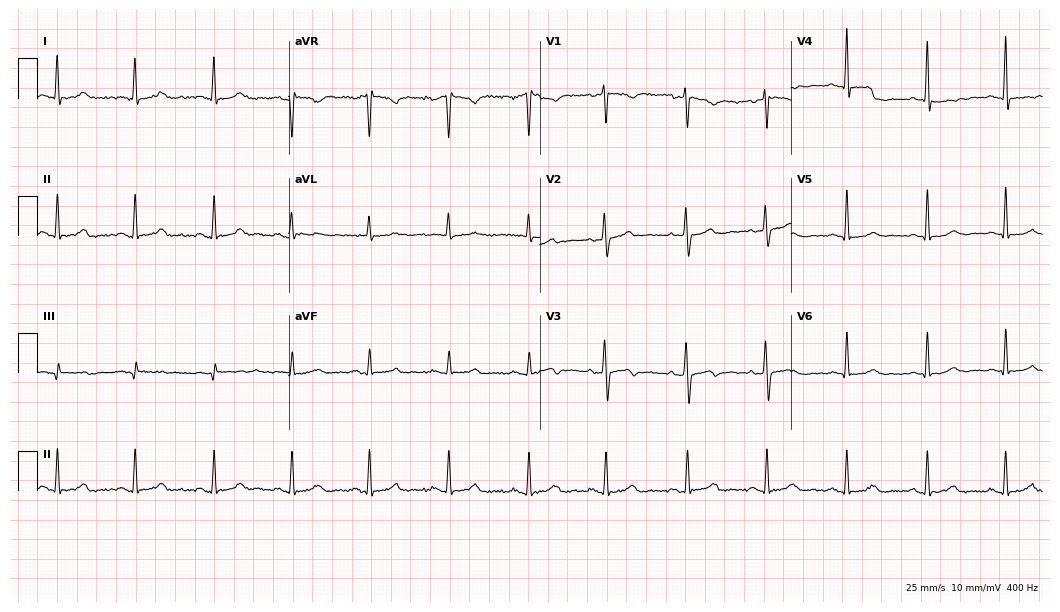
Resting 12-lead electrocardiogram. Patient: a female, 43 years old. None of these six findings is recorded: first-degree AV block, right bundle branch block, left bundle branch block, sinus bradycardia, atrial fibrillation, sinus tachycardia. Findings outside these six are not listed.